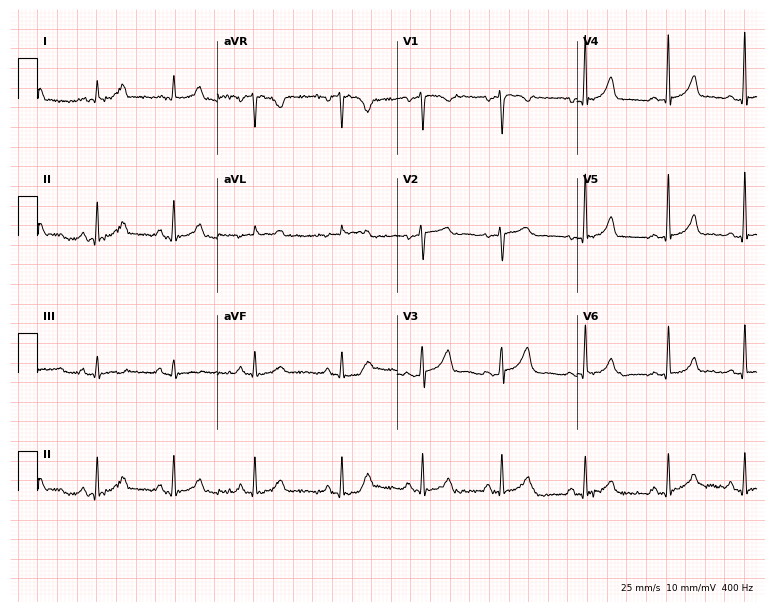
12-lead ECG (7.3-second recording at 400 Hz) from a female patient, 42 years old. Labelled as a normal ECG.